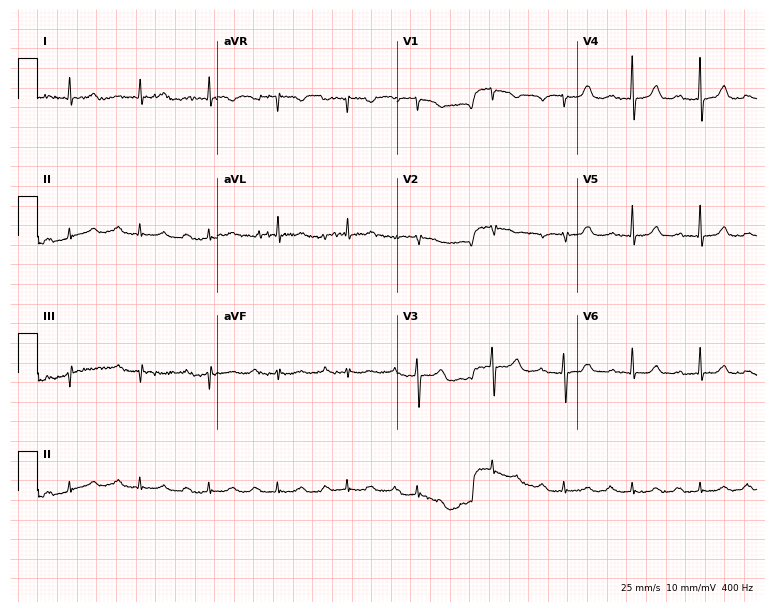
Resting 12-lead electrocardiogram (7.3-second recording at 400 Hz). Patient: an 84-year-old female. The tracing shows first-degree AV block.